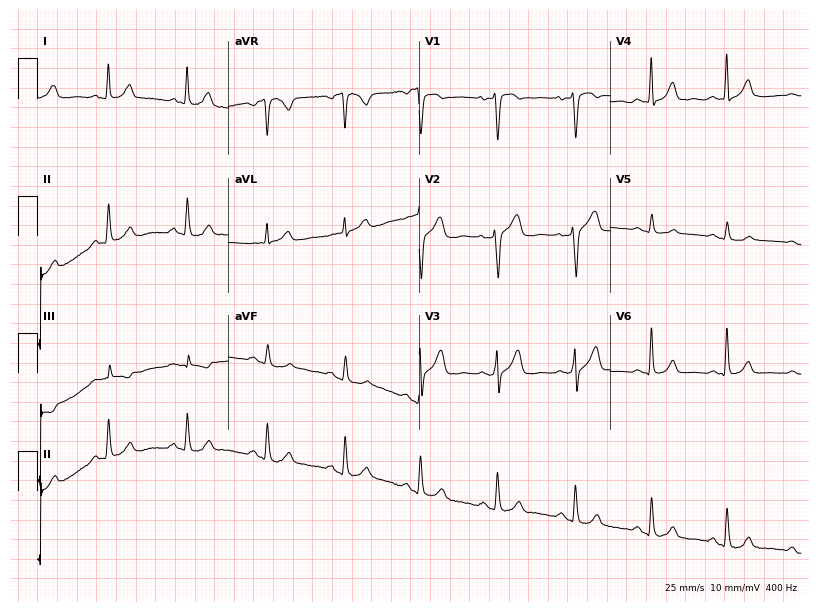
Electrocardiogram, a female patient, 53 years old. Of the six screened findings (first-degree AV block, right bundle branch block, left bundle branch block, sinus bradycardia, atrial fibrillation, sinus tachycardia), none is recorded.